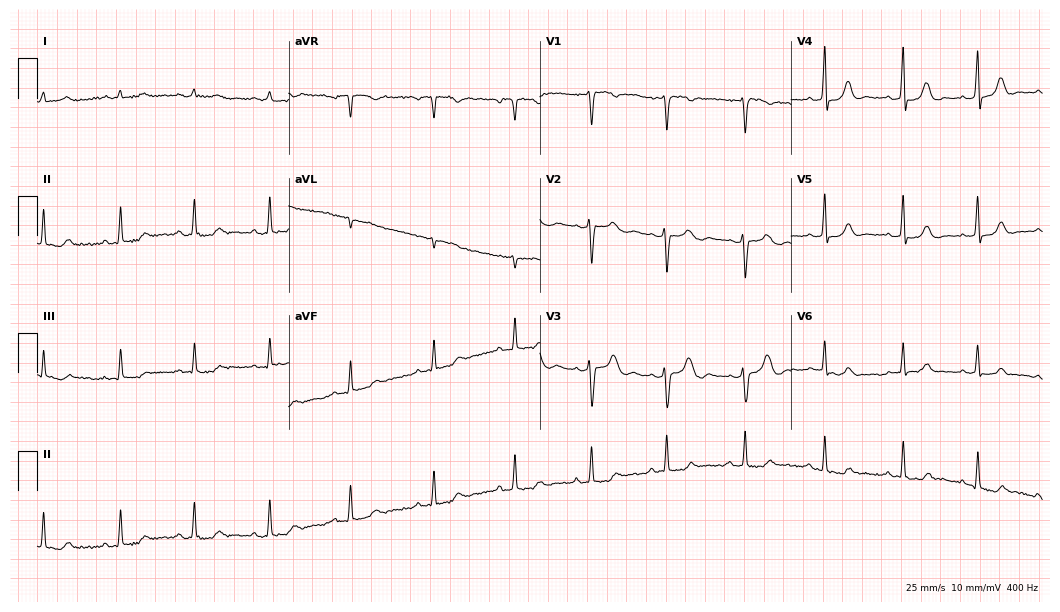
Electrocardiogram, a female patient, 40 years old. Overall reading on record: normal ECG.